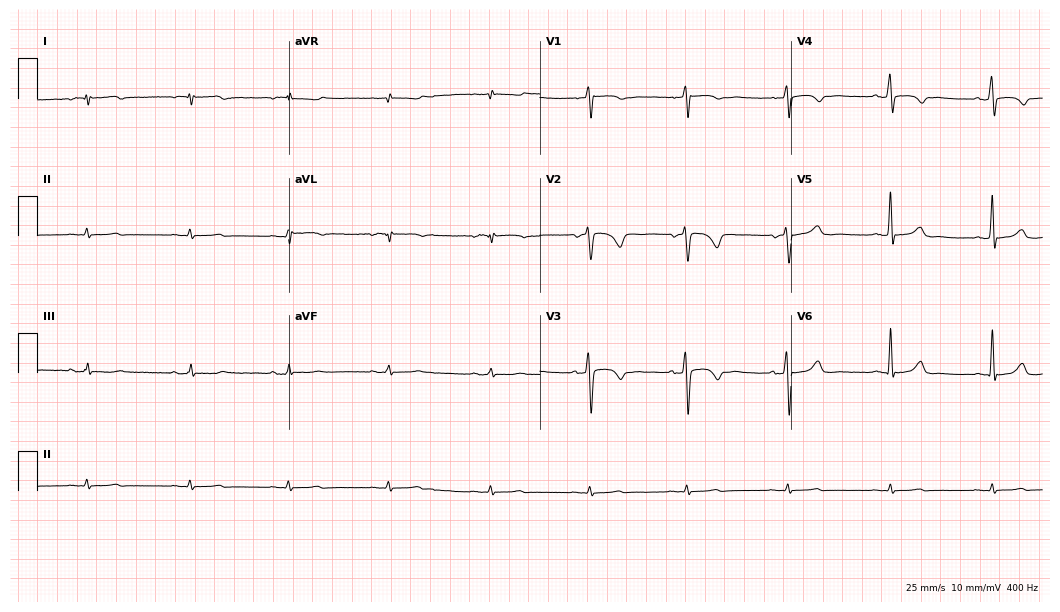
12-lead ECG from a female patient, 51 years old. No first-degree AV block, right bundle branch block, left bundle branch block, sinus bradycardia, atrial fibrillation or sinus tachycardia recorded for this tracing.